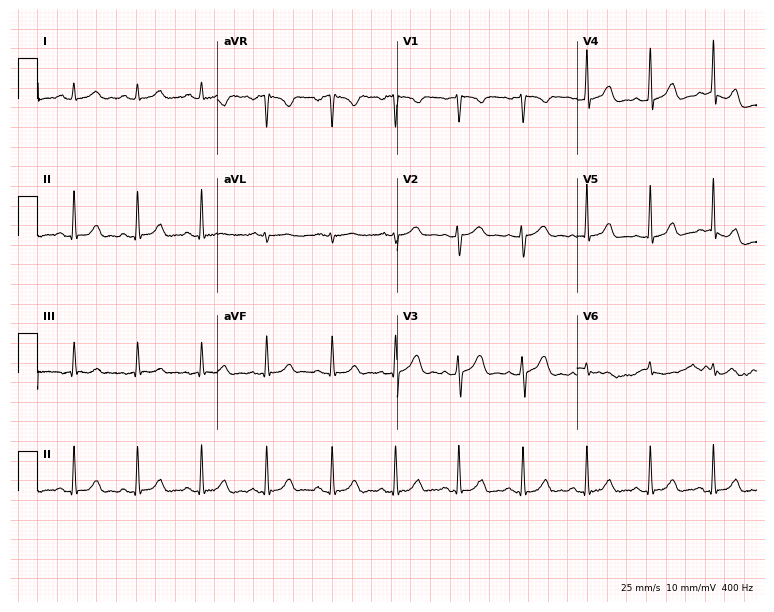
12-lead ECG from a woman, 27 years old (7.3-second recording at 400 Hz). Recorded interpretation: within normal limits.